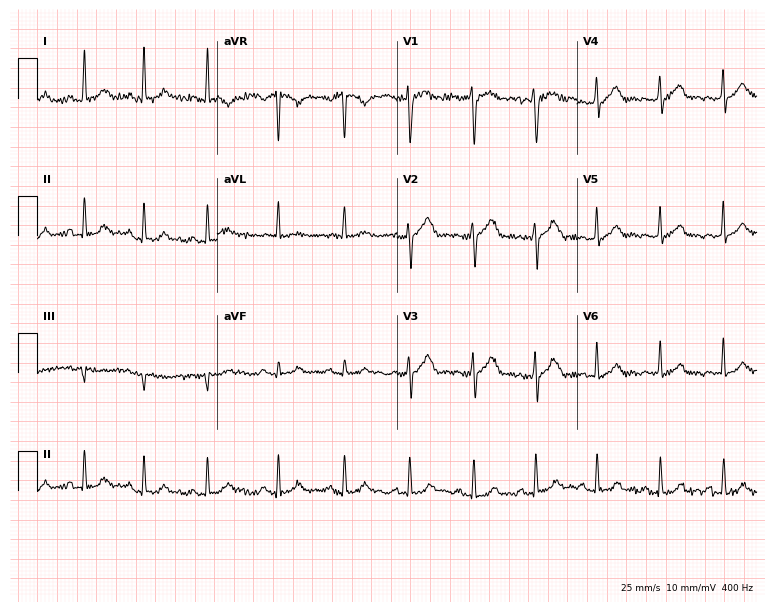
ECG — an 18-year-old male. Screened for six findings — first-degree AV block, right bundle branch block (RBBB), left bundle branch block (LBBB), sinus bradycardia, atrial fibrillation (AF), sinus tachycardia — none is recorded. Other findings, if any, are not listed.